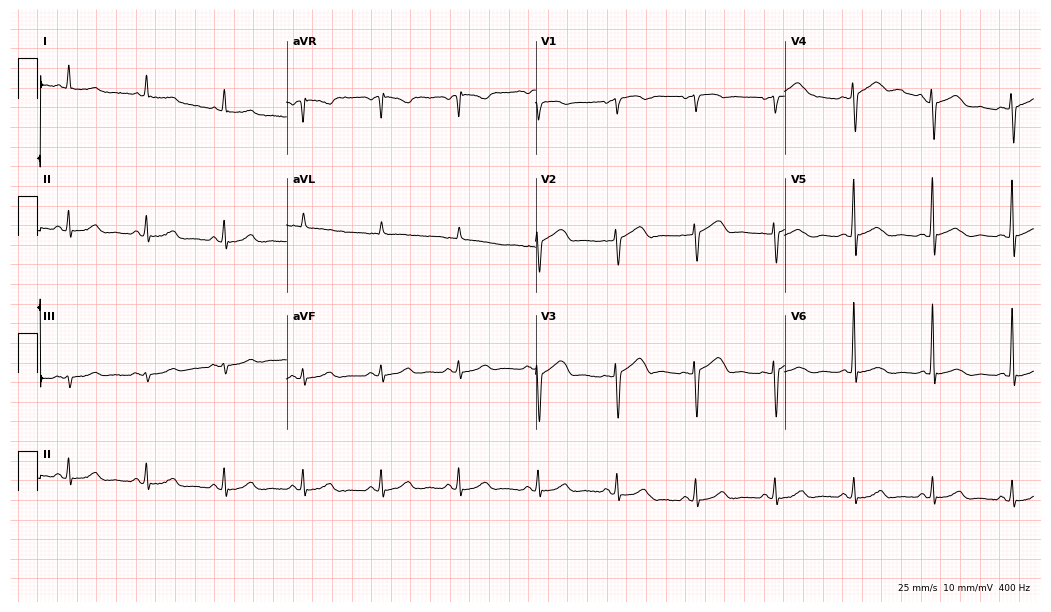
ECG — an 83-year-old woman. Labelled as a normal ECG.